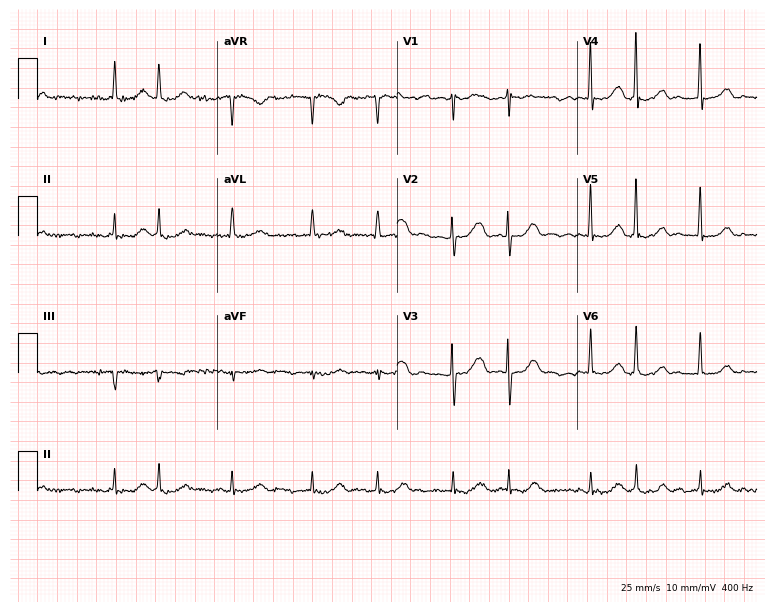
ECG (7.3-second recording at 400 Hz) — a woman, 75 years old. Findings include atrial fibrillation (AF).